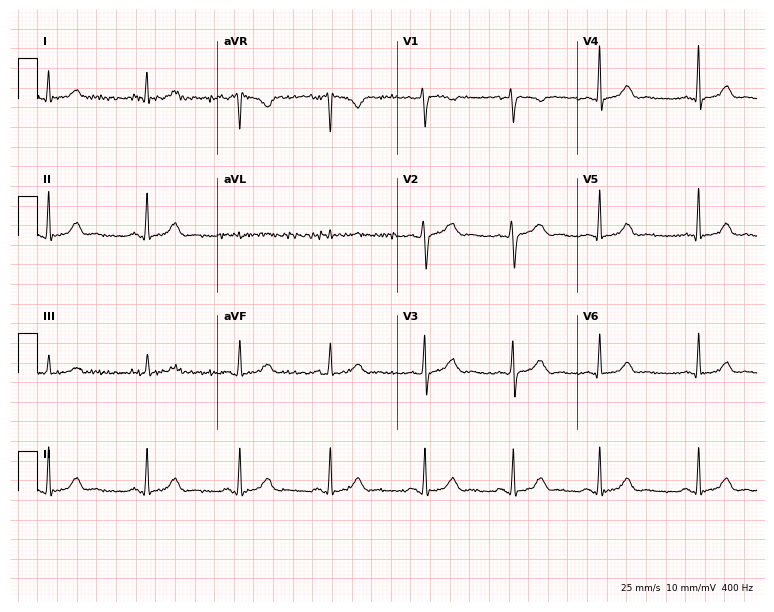
12-lead ECG (7.3-second recording at 400 Hz) from a 36-year-old woman. Labelled as a normal ECG.